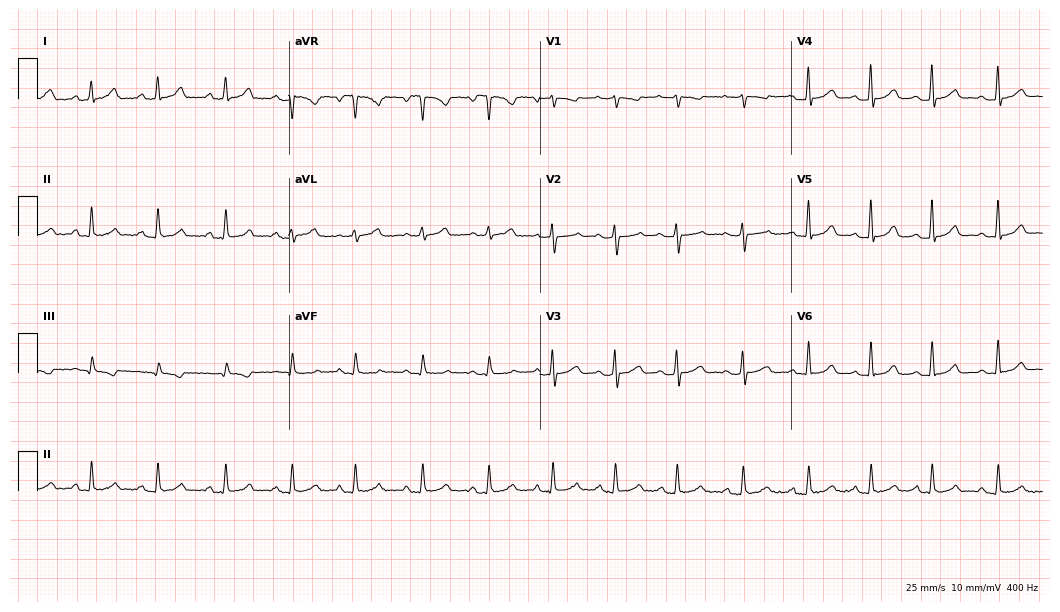
Resting 12-lead electrocardiogram (10.2-second recording at 400 Hz). Patient: a 32-year-old woman. Read as a normal ECG.